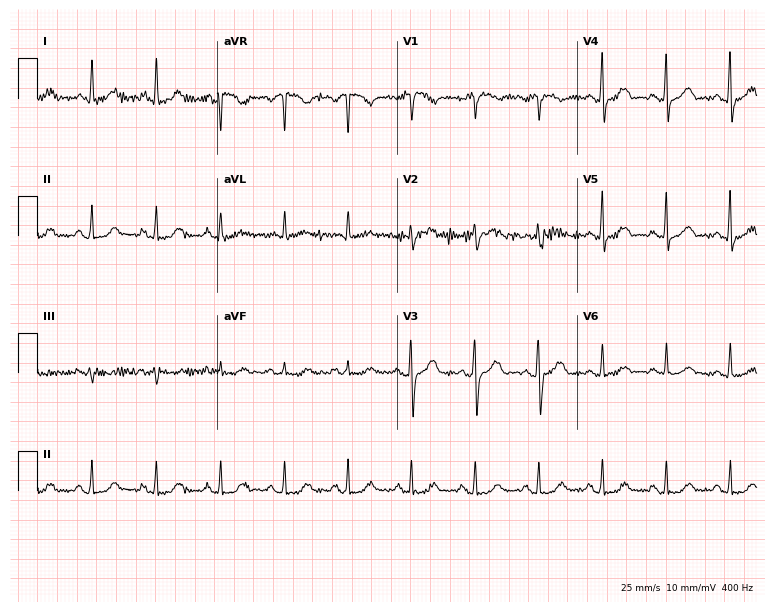
Resting 12-lead electrocardiogram. Patient: a 63-year-old woman. Read as a normal ECG.